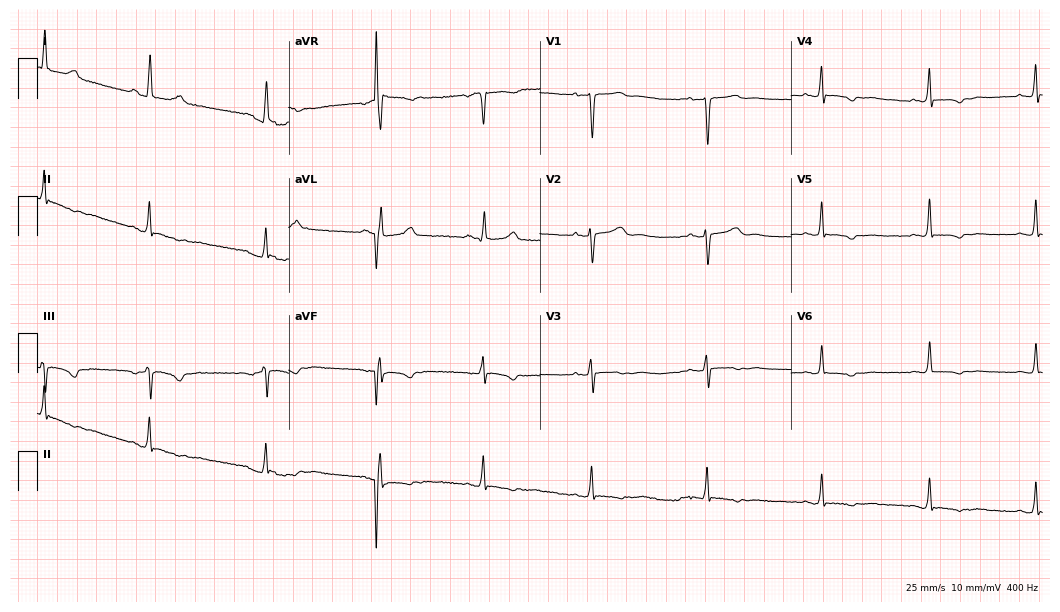
Electrocardiogram, a woman, 38 years old. Of the six screened findings (first-degree AV block, right bundle branch block (RBBB), left bundle branch block (LBBB), sinus bradycardia, atrial fibrillation (AF), sinus tachycardia), none is recorded.